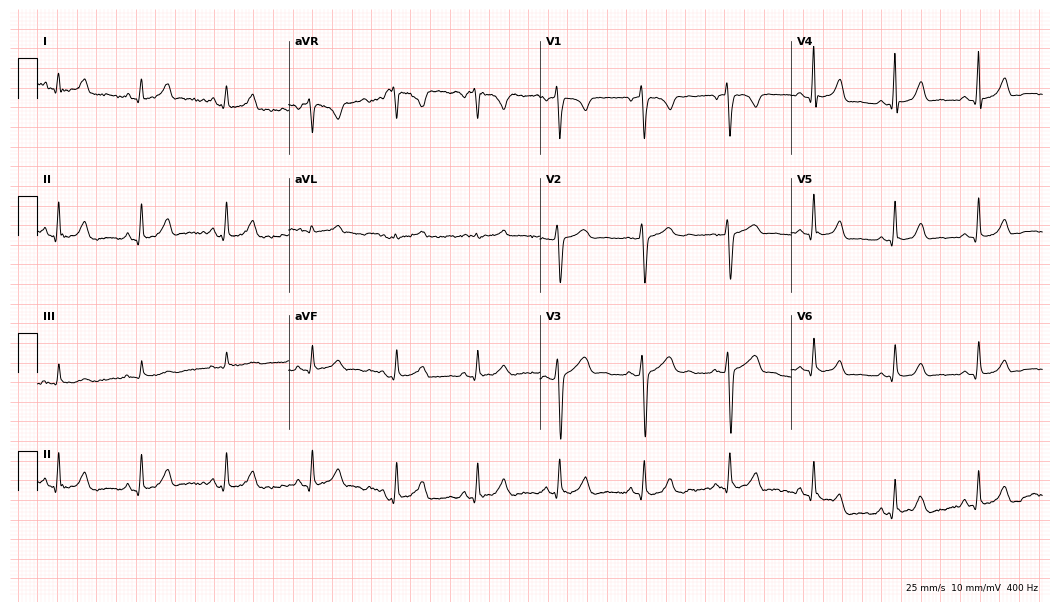
Electrocardiogram (10.2-second recording at 400 Hz), a female patient, 43 years old. Overall reading on record: normal ECG.